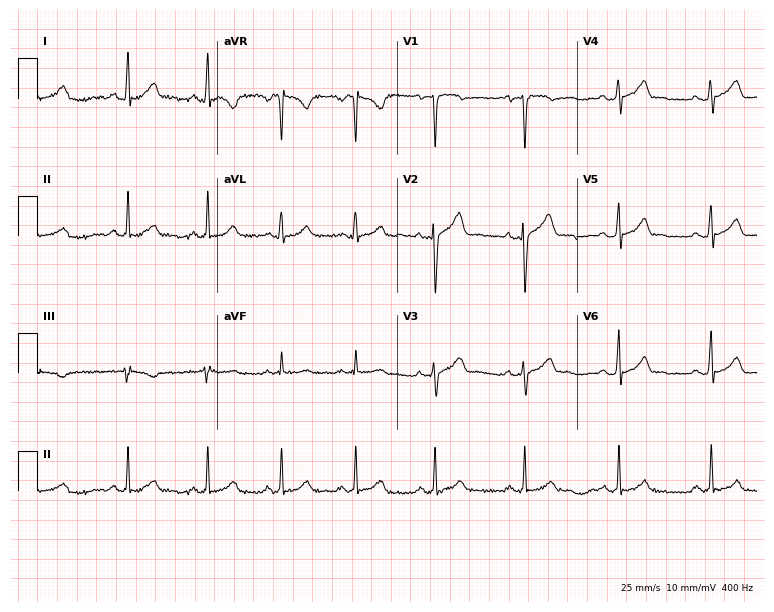
ECG — a male, 31 years old. Screened for six findings — first-degree AV block, right bundle branch block, left bundle branch block, sinus bradycardia, atrial fibrillation, sinus tachycardia — none is recorded. Findings outside these six are not listed.